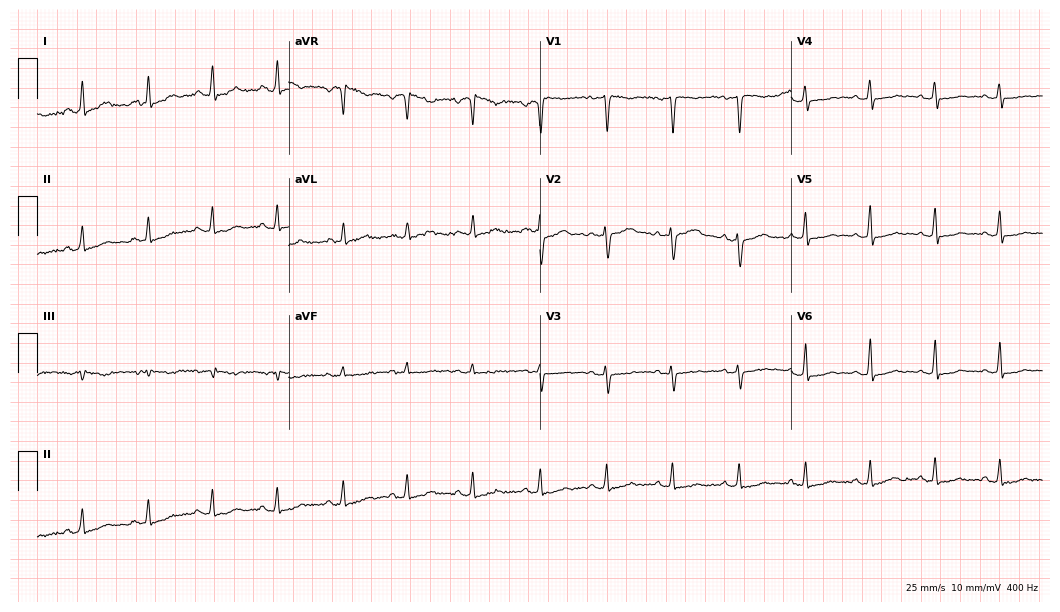
12-lead ECG from a female patient, 37 years old. No first-degree AV block, right bundle branch block (RBBB), left bundle branch block (LBBB), sinus bradycardia, atrial fibrillation (AF) or sinus tachycardia recorded for this tracing.